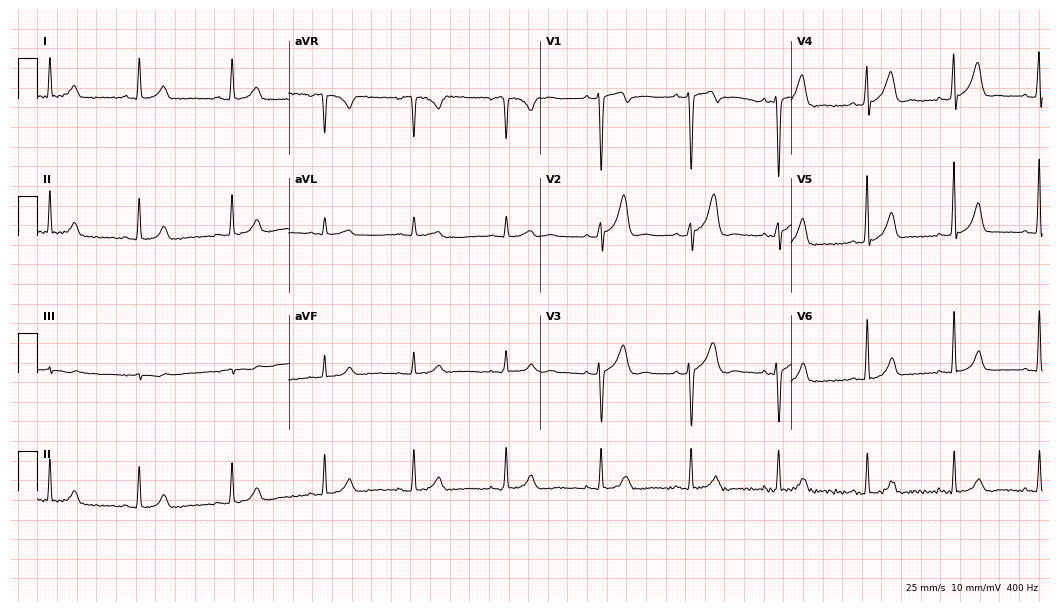
12-lead ECG from a 38-year-old man (10.2-second recording at 400 Hz). Recorded interpretation: within normal limits.